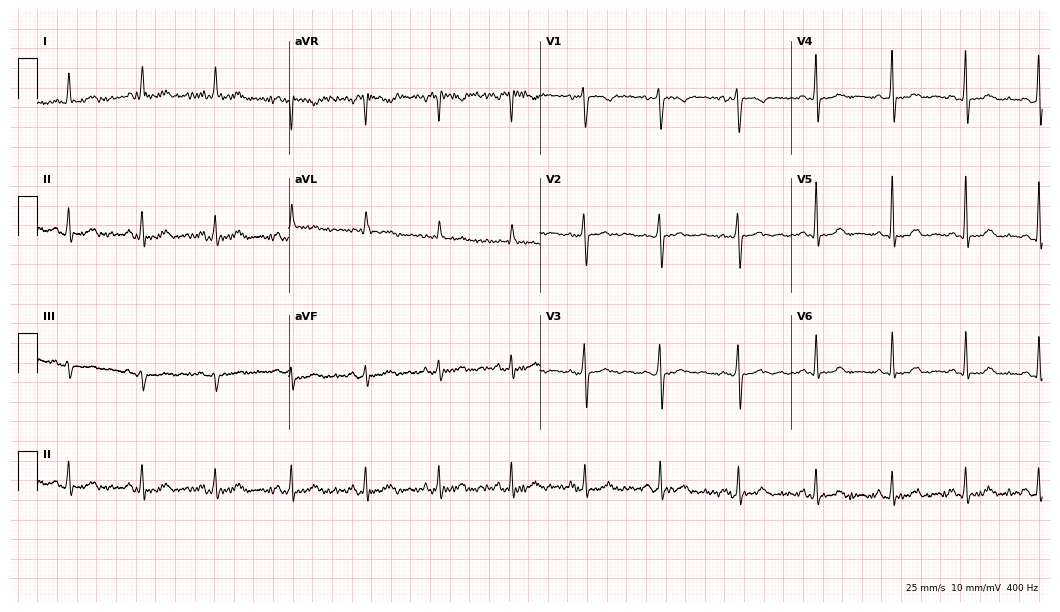
Electrocardiogram (10.2-second recording at 400 Hz), a 54-year-old female. Overall reading on record: normal ECG.